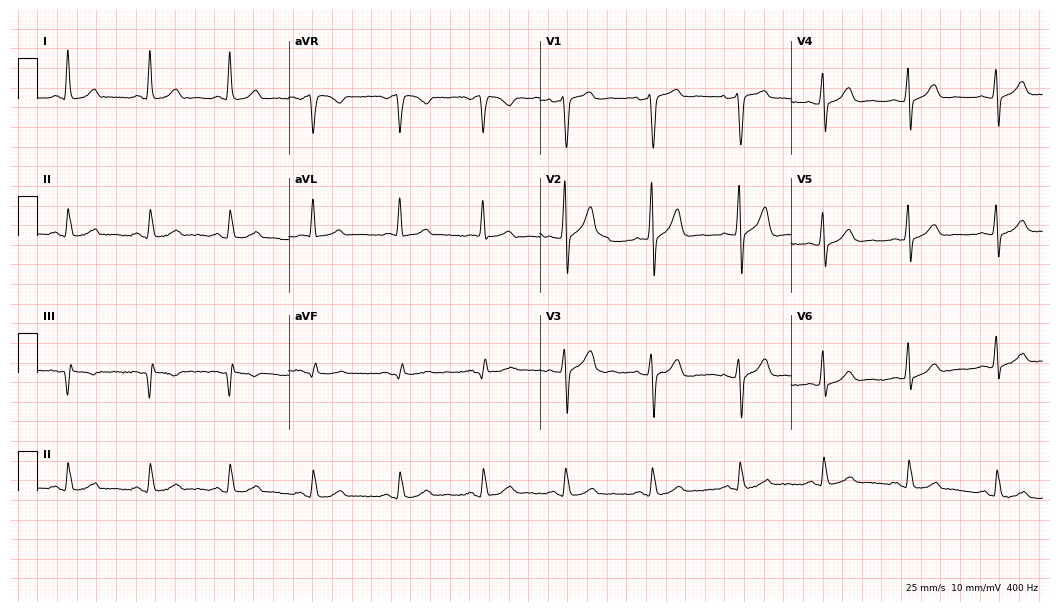
12-lead ECG from a 45-year-old man (10.2-second recording at 400 Hz). Recorded interpretation: within normal limits.